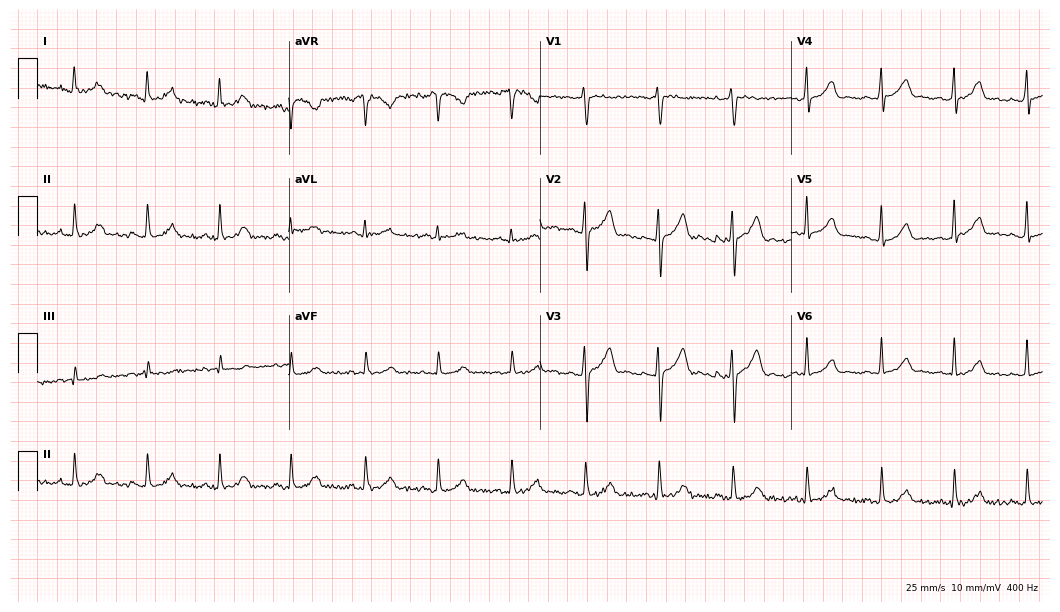
Standard 12-lead ECG recorded from a female, 24 years old. Read as a normal ECG.